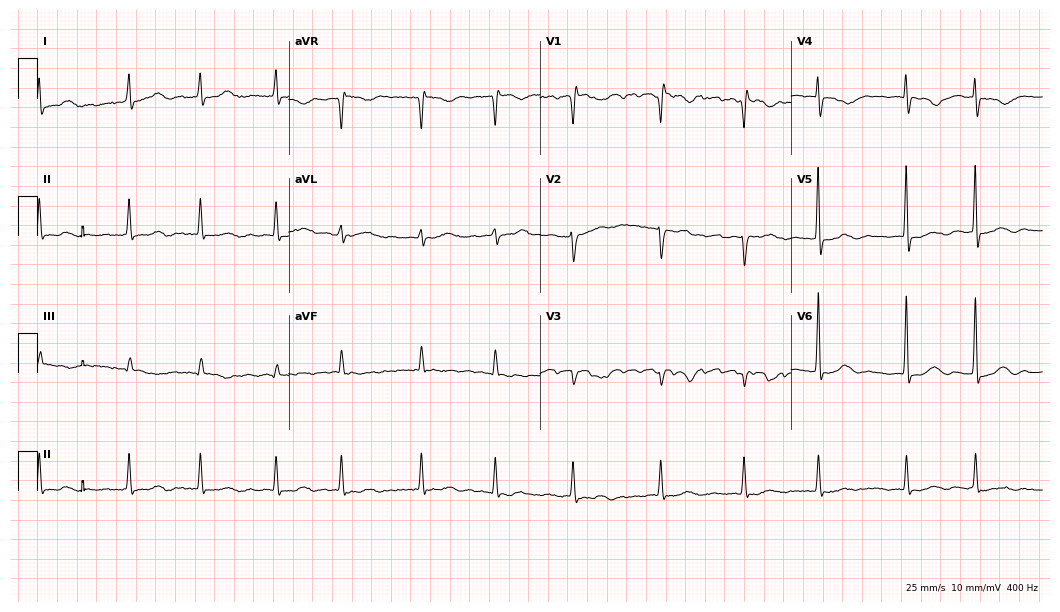
Electrocardiogram, a female patient, 79 years old. Of the six screened findings (first-degree AV block, right bundle branch block, left bundle branch block, sinus bradycardia, atrial fibrillation, sinus tachycardia), none is recorded. Other findings, if any, are not listed.